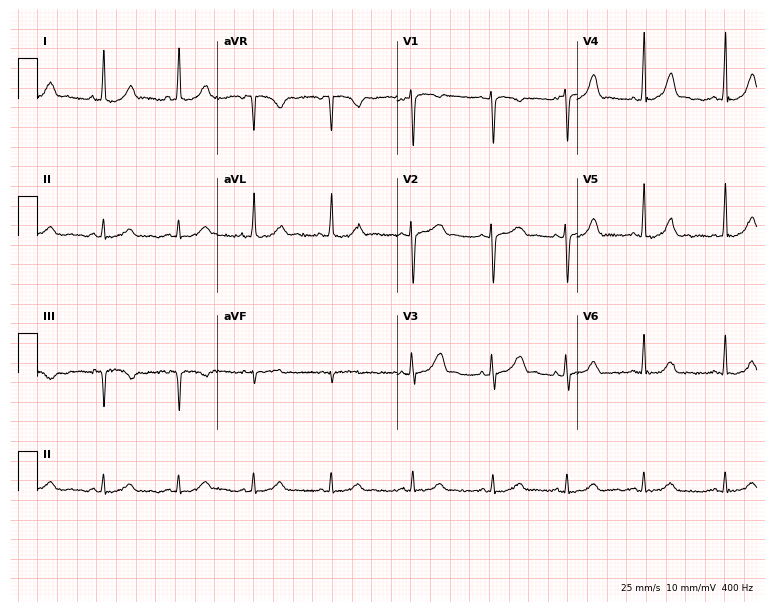
12-lead ECG from a woman, 24 years old. Recorded interpretation: within normal limits.